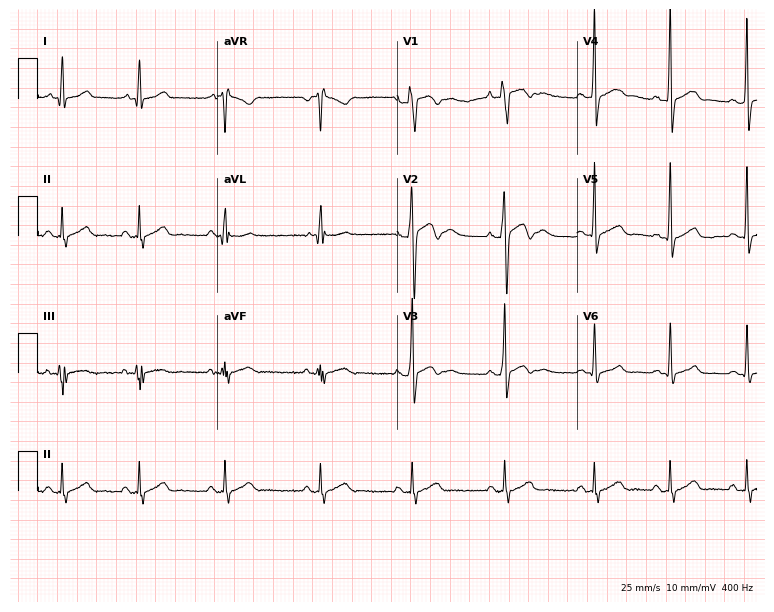
12-lead ECG from a man, 18 years old. Recorded interpretation: within normal limits.